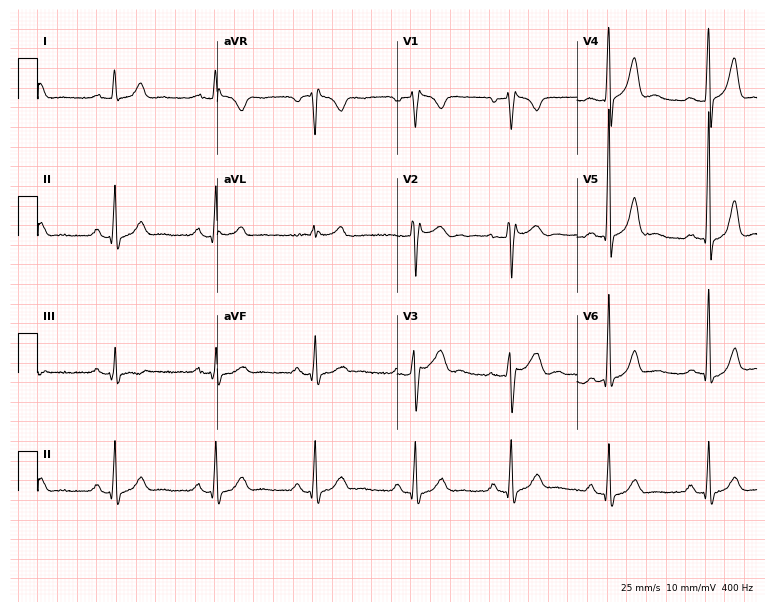
12-lead ECG from a male patient, 48 years old. Screened for six findings — first-degree AV block, right bundle branch block (RBBB), left bundle branch block (LBBB), sinus bradycardia, atrial fibrillation (AF), sinus tachycardia — none is recorded. Only these six findings were labelled.